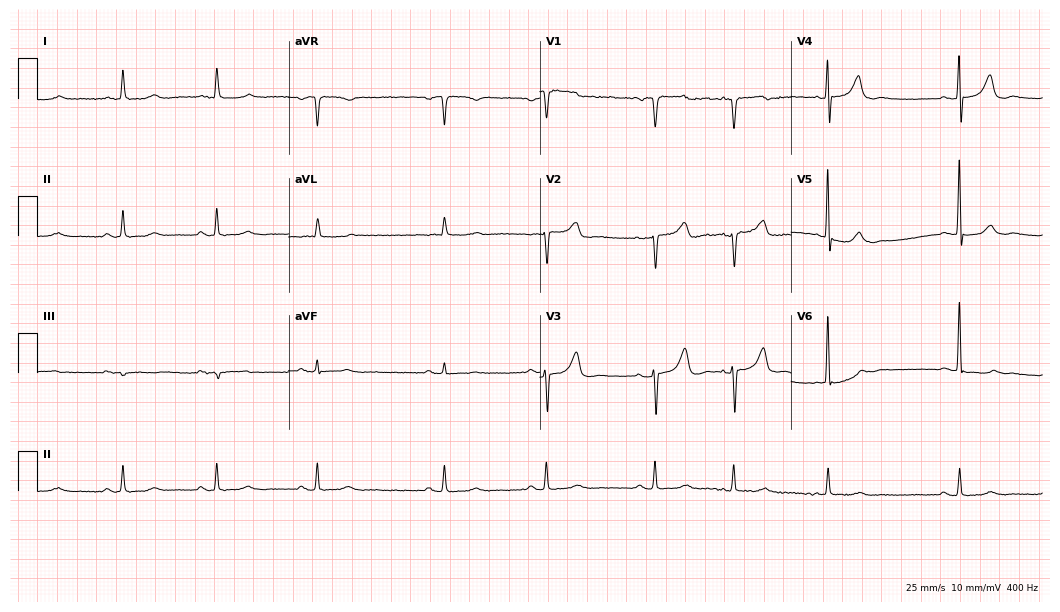
Resting 12-lead electrocardiogram. Patient: a female, 74 years old. None of these six findings is recorded: first-degree AV block, right bundle branch block, left bundle branch block, sinus bradycardia, atrial fibrillation, sinus tachycardia.